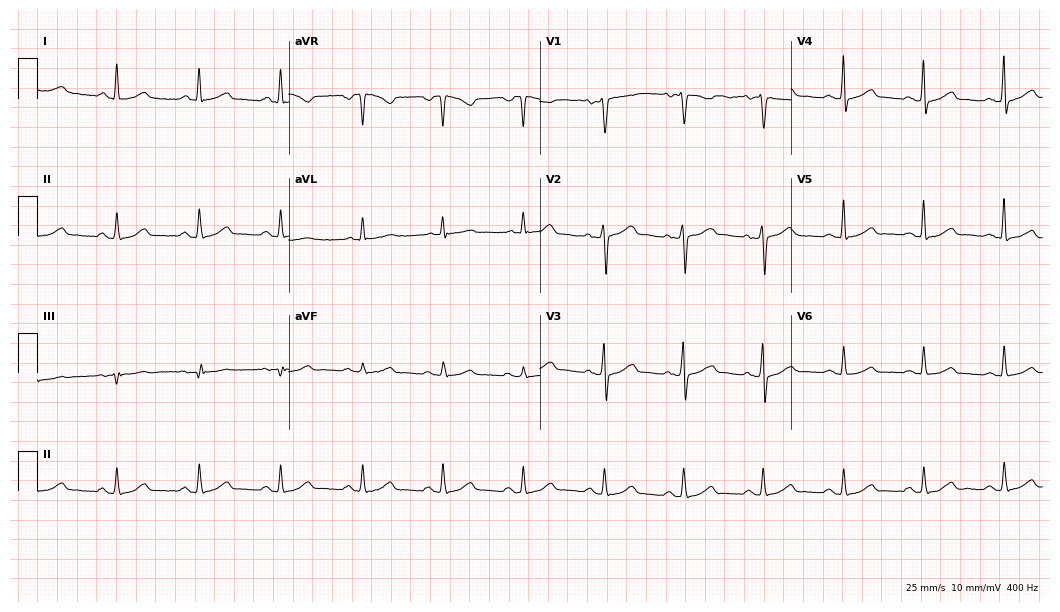
12-lead ECG from a woman, 48 years old (10.2-second recording at 400 Hz). Recorded interpretation: within normal limits.